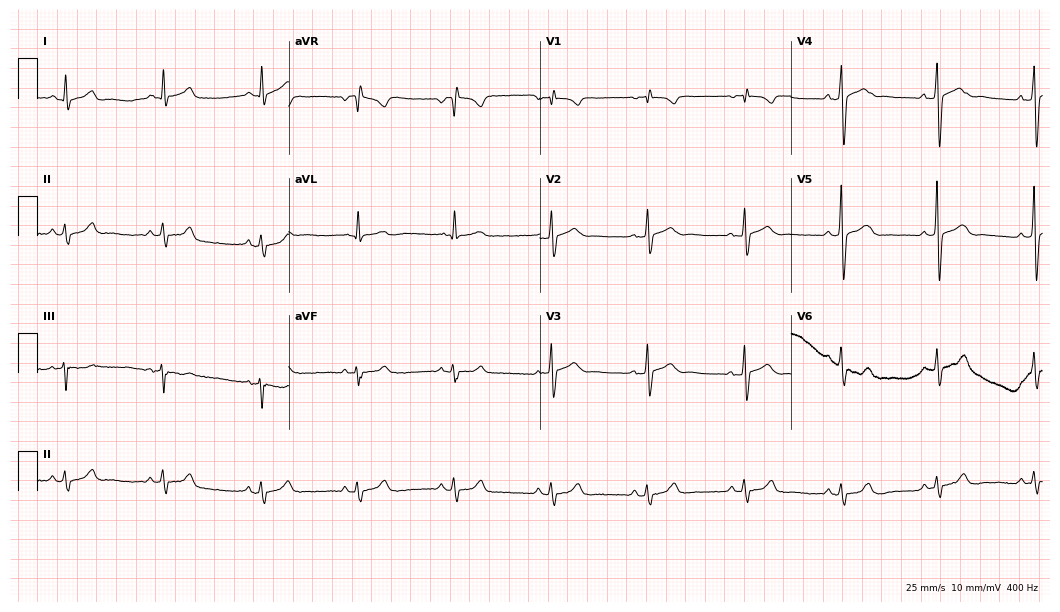
Standard 12-lead ECG recorded from a 49-year-old male patient (10.2-second recording at 400 Hz). Read as a normal ECG.